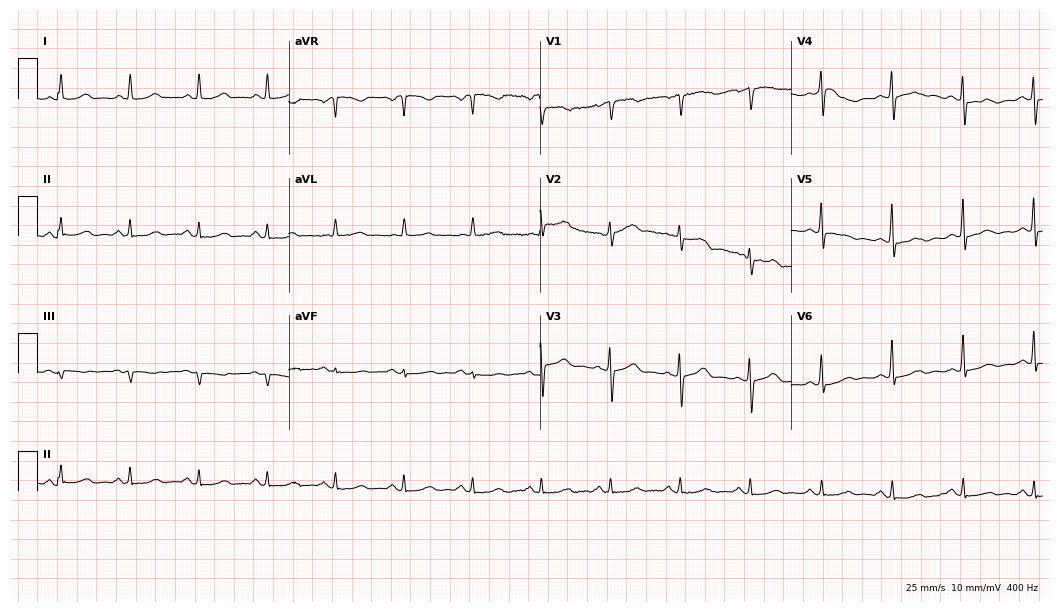
Electrocardiogram, a female, 63 years old. Overall reading on record: normal ECG.